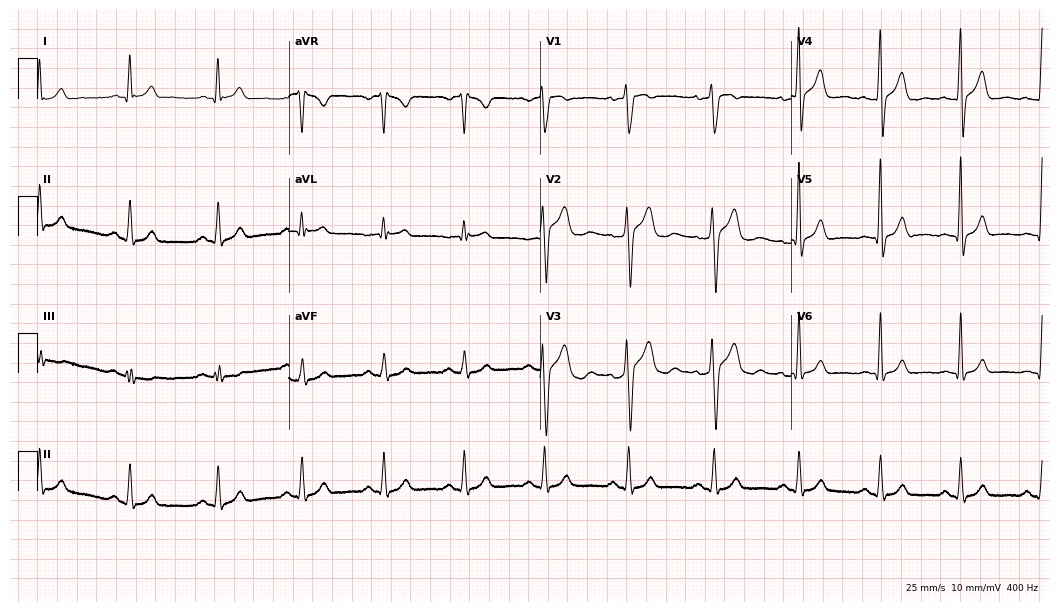
12-lead ECG from a 35-year-old male. No first-degree AV block, right bundle branch block (RBBB), left bundle branch block (LBBB), sinus bradycardia, atrial fibrillation (AF) or sinus tachycardia recorded for this tracing.